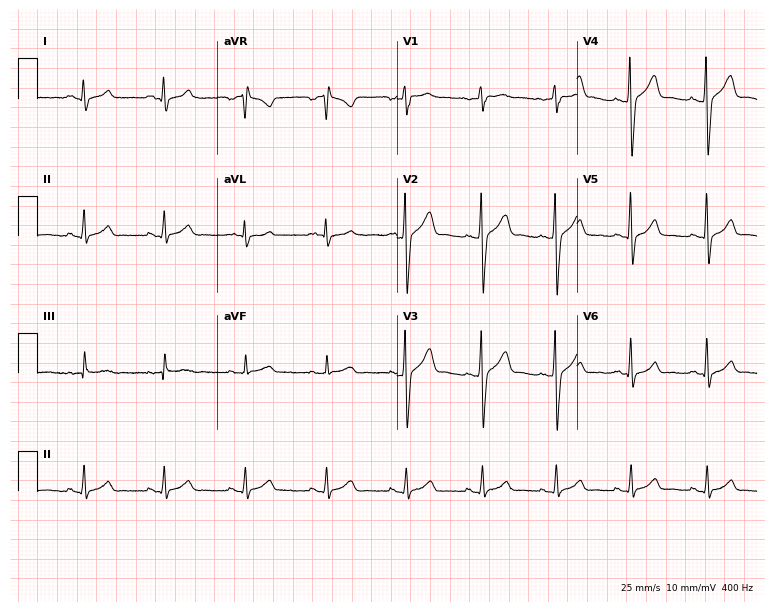
12-lead ECG from a 35-year-old male (7.3-second recording at 400 Hz). No first-degree AV block, right bundle branch block, left bundle branch block, sinus bradycardia, atrial fibrillation or sinus tachycardia recorded for this tracing.